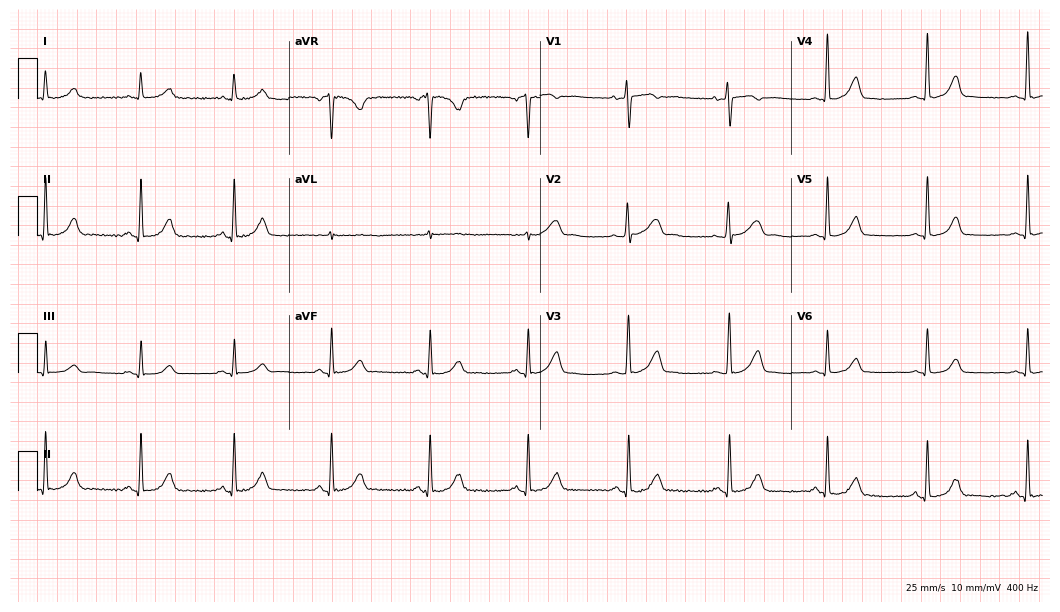
Resting 12-lead electrocardiogram (10.2-second recording at 400 Hz). Patient: a woman, 36 years old. Read as a normal ECG.